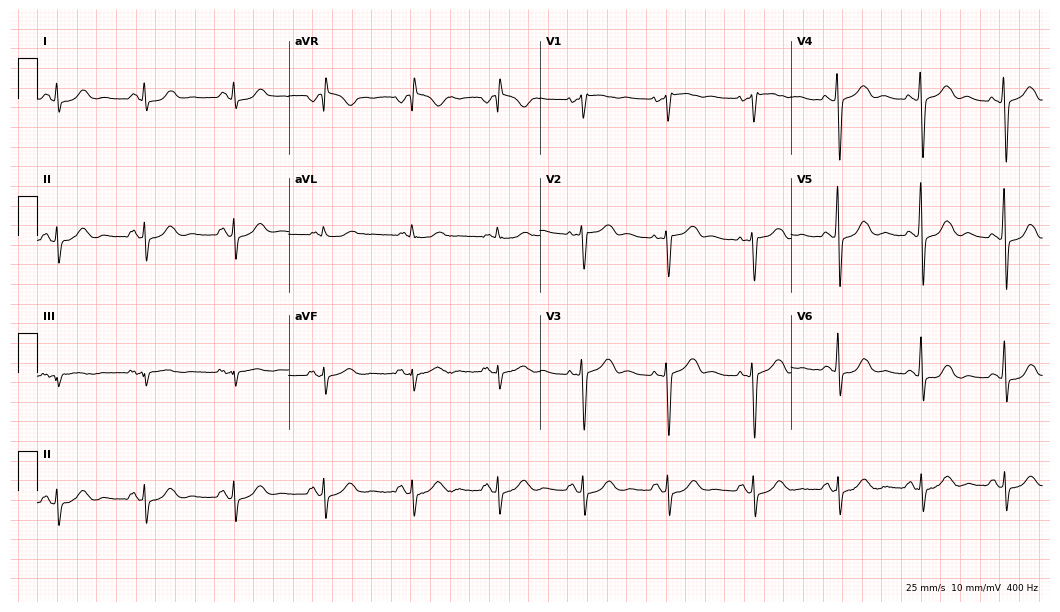
12-lead ECG from a woman, 49 years old. No first-degree AV block, right bundle branch block, left bundle branch block, sinus bradycardia, atrial fibrillation or sinus tachycardia recorded for this tracing. Only these six findings were labelled.